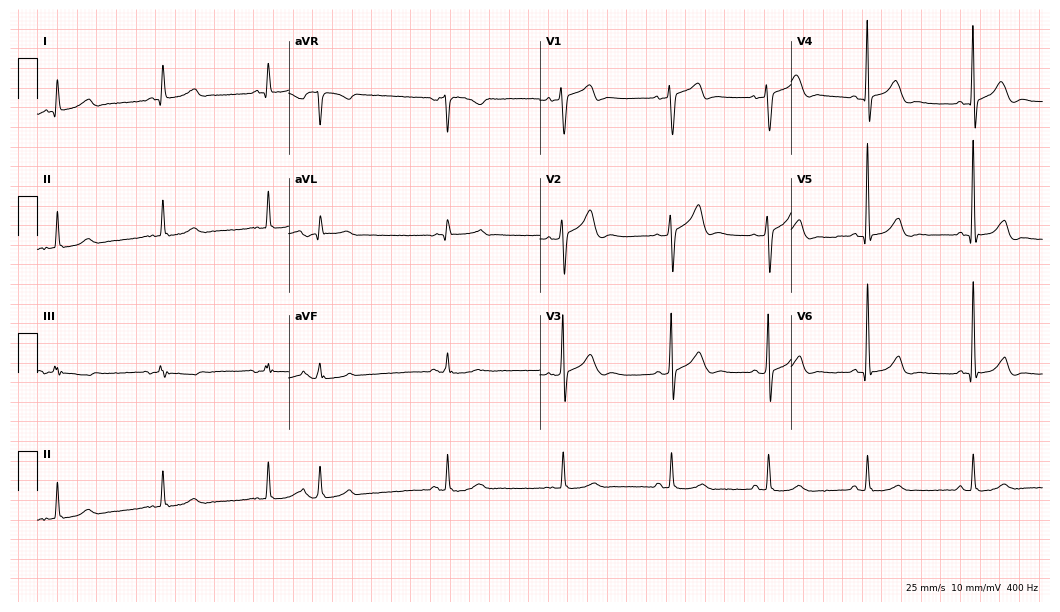
12-lead ECG from a man, 65 years old. Screened for six findings — first-degree AV block, right bundle branch block, left bundle branch block, sinus bradycardia, atrial fibrillation, sinus tachycardia — none is recorded. Findings outside these six are not listed.